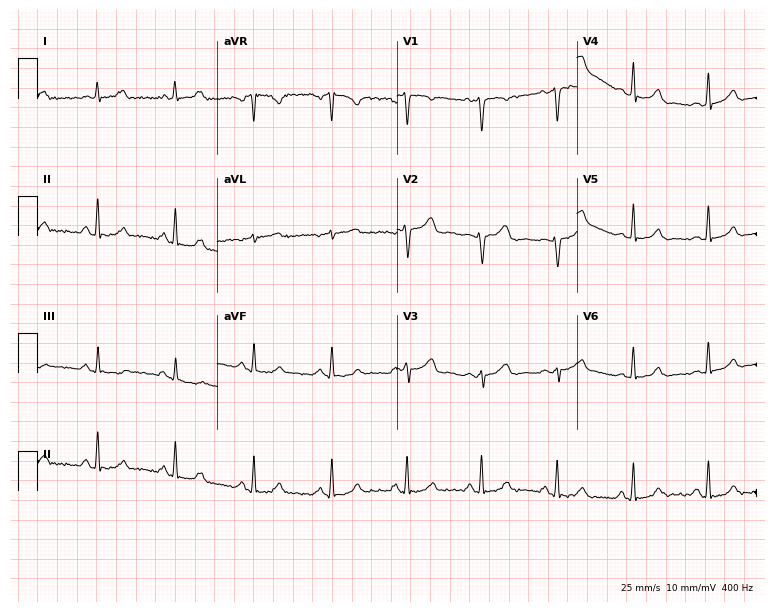
ECG — a female, 27 years old. Screened for six findings — first-degree AV block, right bundle branch block, left bundle branch block, sinus bradycardia, atrial fibrillation, sinus tachycardia — none is recorded.